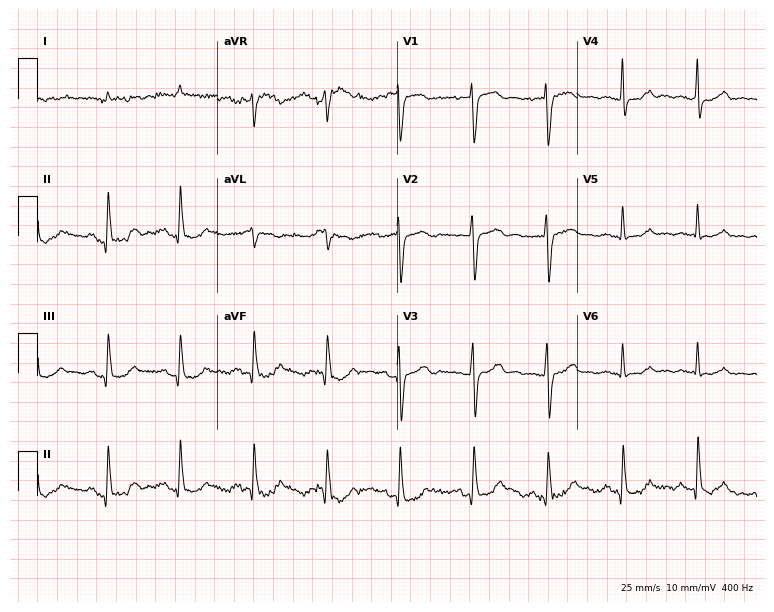
12-lead ECG from a 62-year-old male patient. Labelled as a normal ECG.